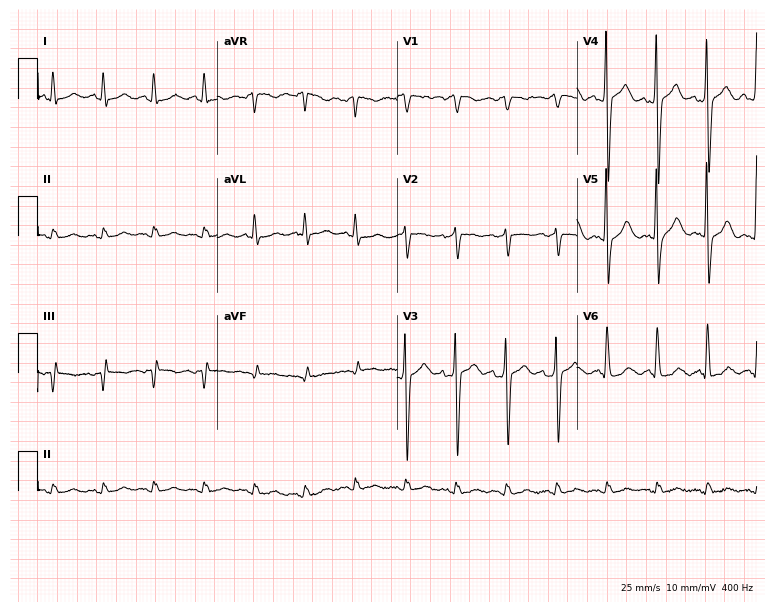
Electrocardiogram, a male patient, 70 years old. Interpretation includes sinus tachycardia (a sinus rate of 100 beats per minute or more).